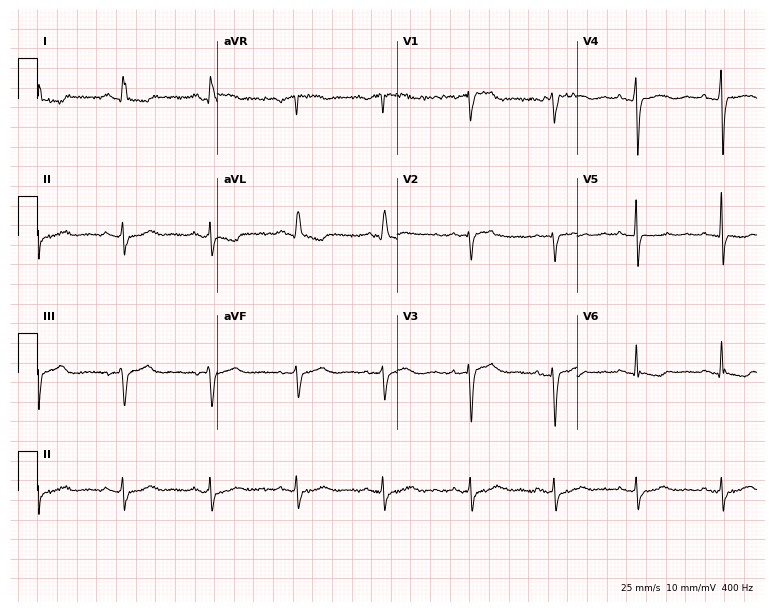
Standard 12-lead ECG recorded from a female patient, 58 years old (7.3-second recording at 400 Hz). None of these six findings is recorded: first-degree AV block, right bundle branch block, left bundle branch block, sinus bradycardia, atrial fibrillation, sinus tachycardia.